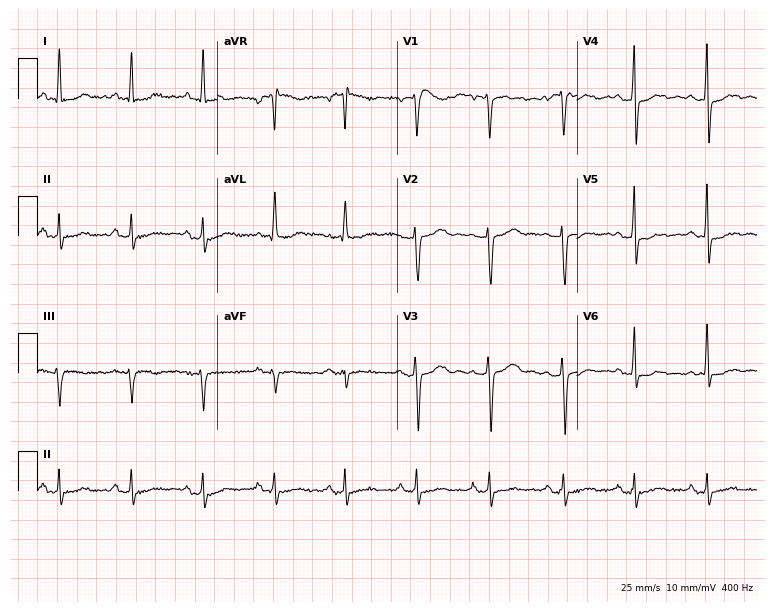
12-lead ECG from a 49-year-old female patient. Screened for six findings — first-degree AV block, right bundle branch block, left bundle branch block, sinus bradycardia, atrial fibrillation, sinus tachycardia — none is recorded.